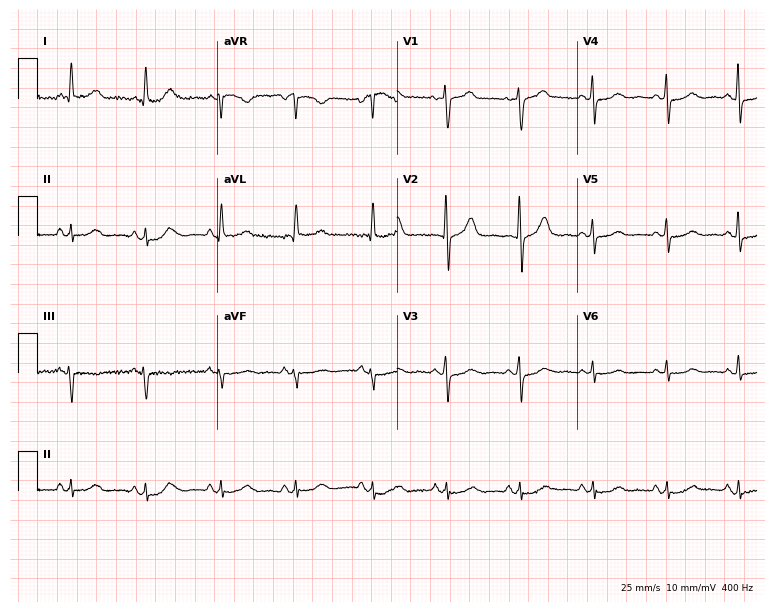
12-lead ECG (7.3-second recording at 400 Hz) from a woman, 76 years old. Screened for six findings — first-degree AV block, right bundle branch block (RBBB), left bundle branch block (LBBB), sinus bradycardia, atrial fibrillation (AF), sinus tachycardia — none is recorded.